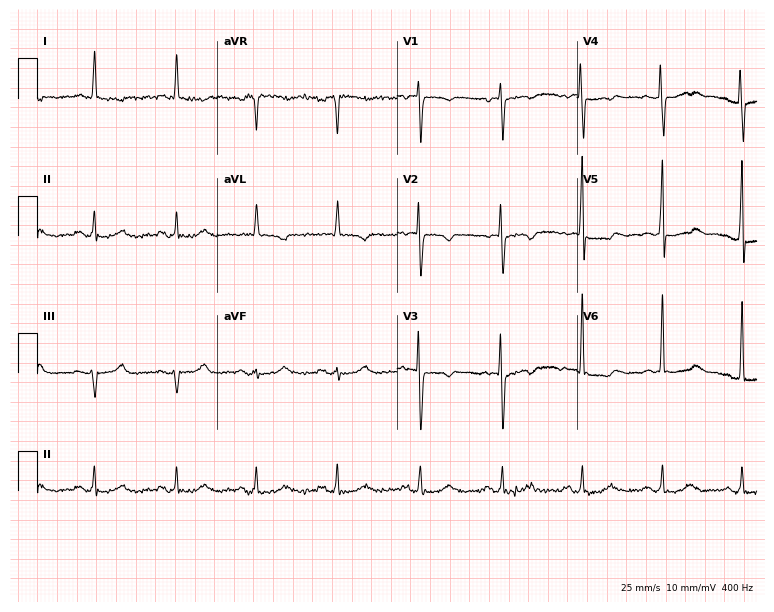
12-lead ECG from a female patient, 75 years old (7.3-second recording at 400 Hz). No first-degree AV block, right bundle branch block, left bundle branch block, sinus bradycardia, atrial fibrillation or sinus tachycardia recorded for this tracing. Other findings, if any, are not listed.